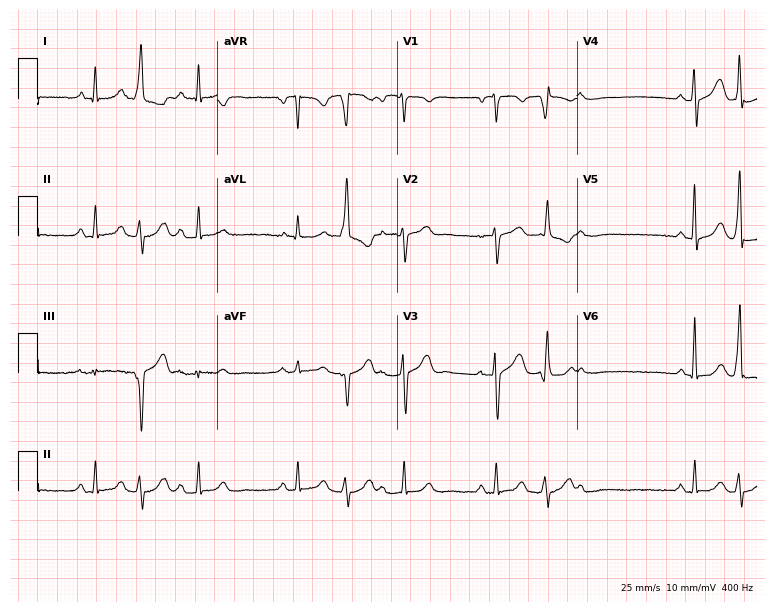
12-lead ECG from a 60-year-old woman (7.3-second recording at 400 Hz). Recorded interpretation: within normal limits.